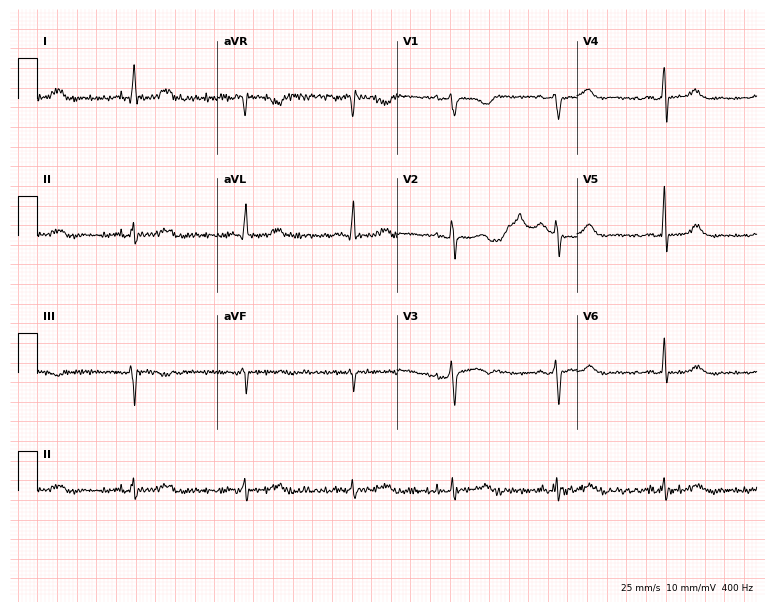
Electrocardiogram (7.3-second recording at 400 Hz), a female, 60 years old. Of the six screened findings (first-degree AV block, right bundle branch block (RBBB), left bundle branch block (LBBB), sinus bradycardia, atrial fibrillation (AF), sinus tachycardia), none is recorded.